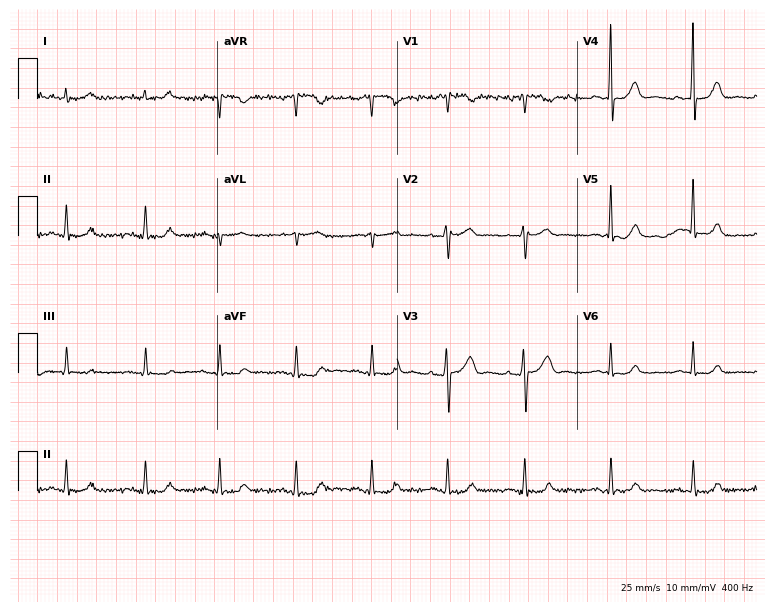
12-lead ECG (7.3-second recording at 400 Hz) from a 69-year-old male patient. Screened for six findings — first-degree AV block, right bundle branch block, left bundle branch block, sinus bradycardia, atrial fibrillation, sinus tachycardia — none is recorded.